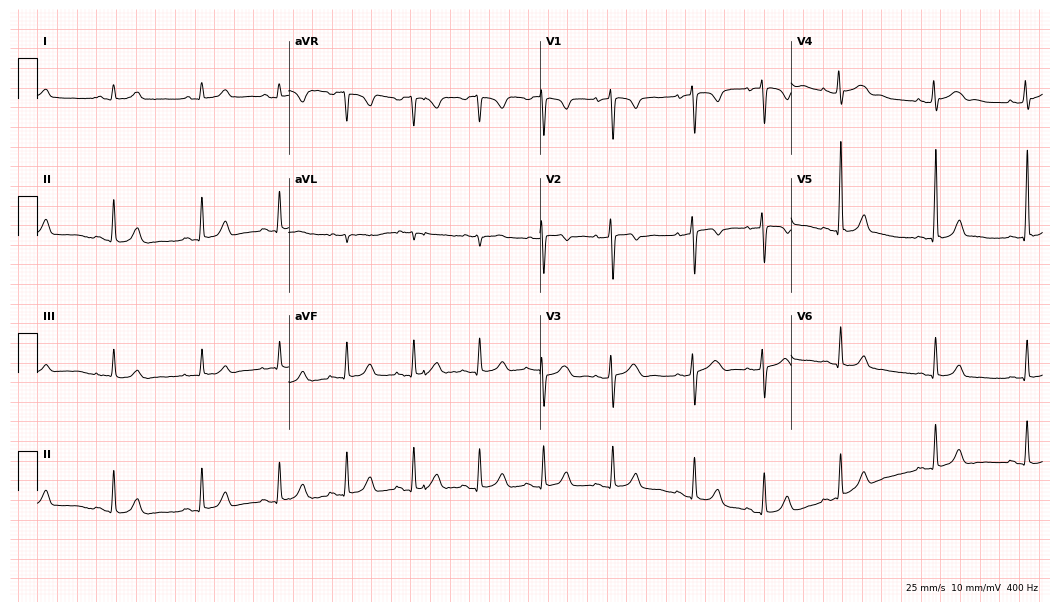
12-lead ECG from a 19-year-old woman. Labelled as a normal ECG.